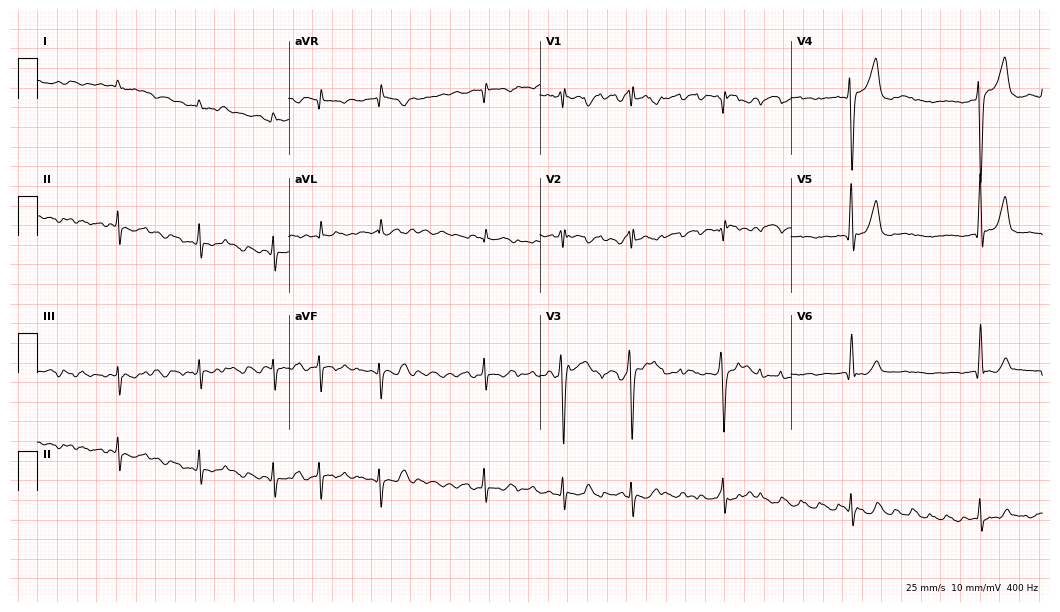
Electrocardiogram, a man, 52 years old. Of the six screened findings (first-degree AV block, right bundle branch block, left bundle branch block, sinus bradycardia, atrial fibrillation, sinus tachycardia), none is recorded. Other findings, if any, are not listed.